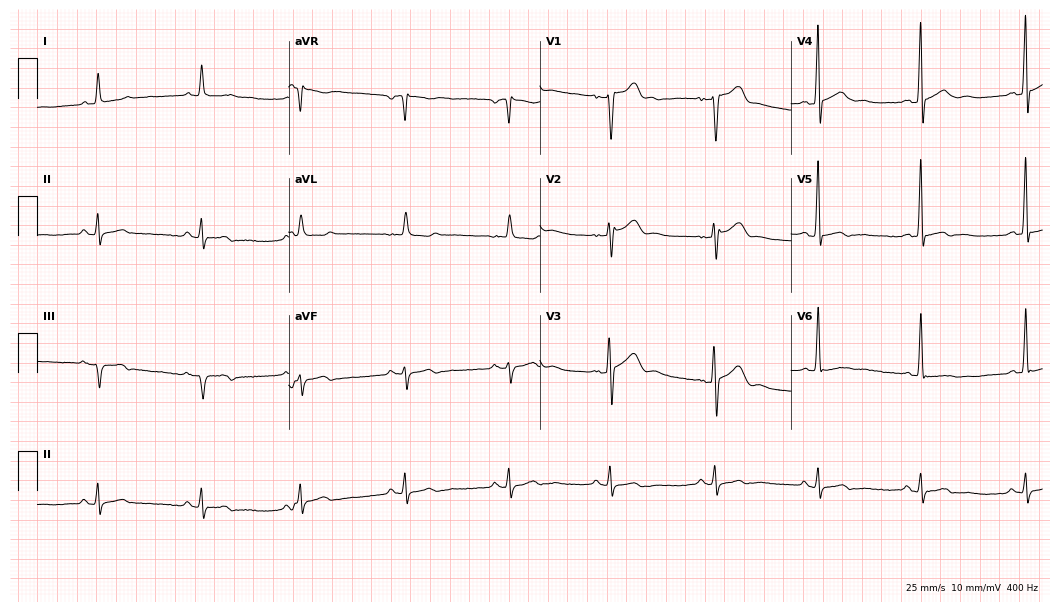
12-lead ECG from a 76-year-old male (10.2-second recording at 400 Hz). No first-degree AV block, right bundle branch block, left bundle branch block, sinus bradycardia, atrial fibrillation or sinus tachycardia recorded for this tracing.